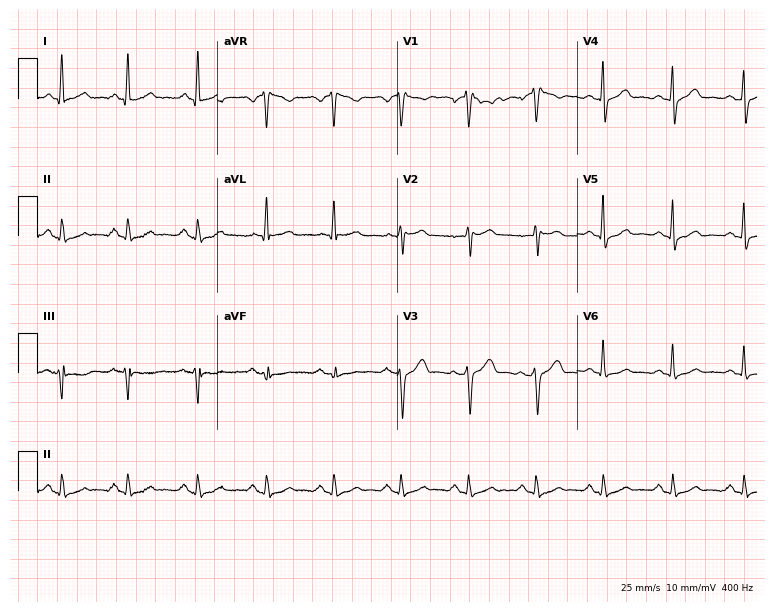
Resting 12-lead electrocardiogram. Patient: a male, 44 years old. Read as a normal ECG.